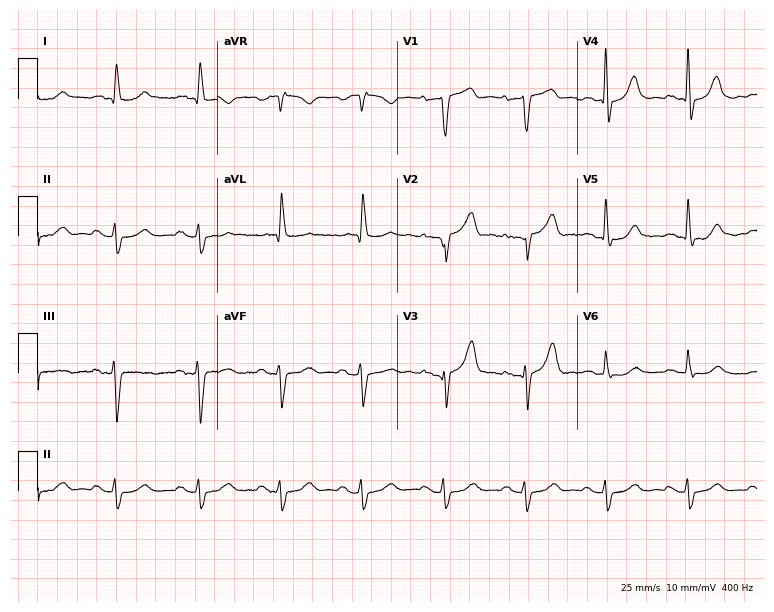
Resting 12-lead electrocardiogram (7.3-second recording at 400 Hz). Patient: a male, 73 years old. None of these six findings is recorded: first-degree AV block, right bundle branch block, left bundle branch block, sinus bradycardia, atrial fibrillation, sinus tachycardia. Other findings, if any, are not listed.